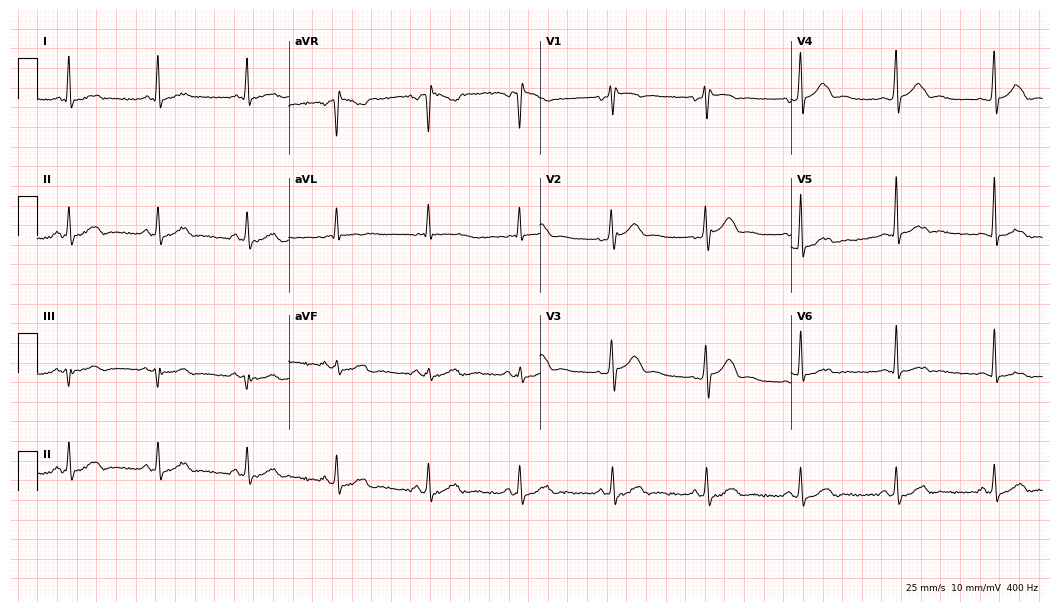
Resting 12-lead electrocardiogram. Patient: a 45-year-old male. Read as a normal ECG.